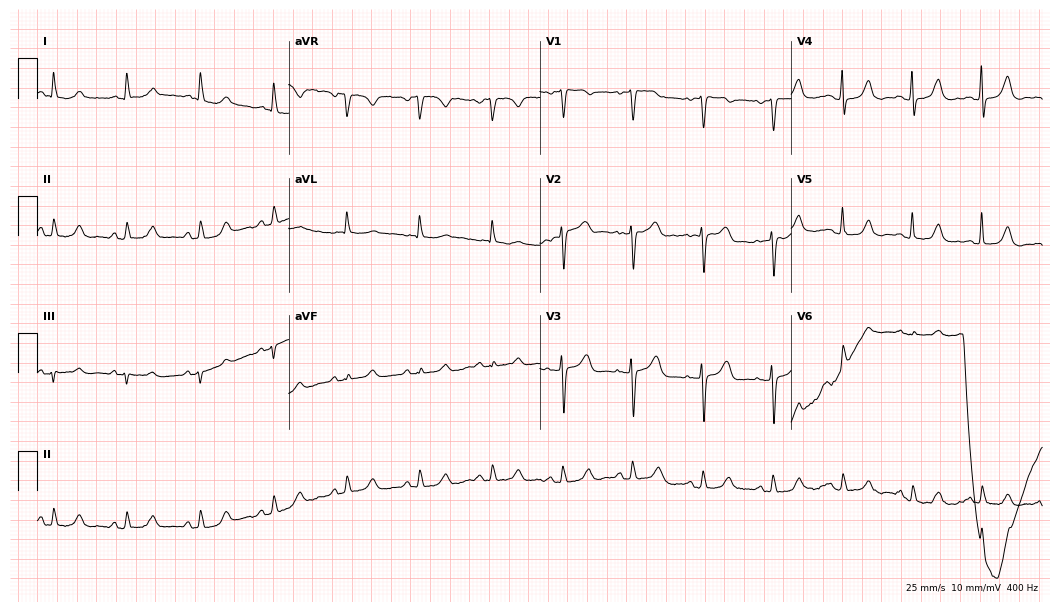
ECG — an 83-year-old female patient. Labelled as a normal ECG.